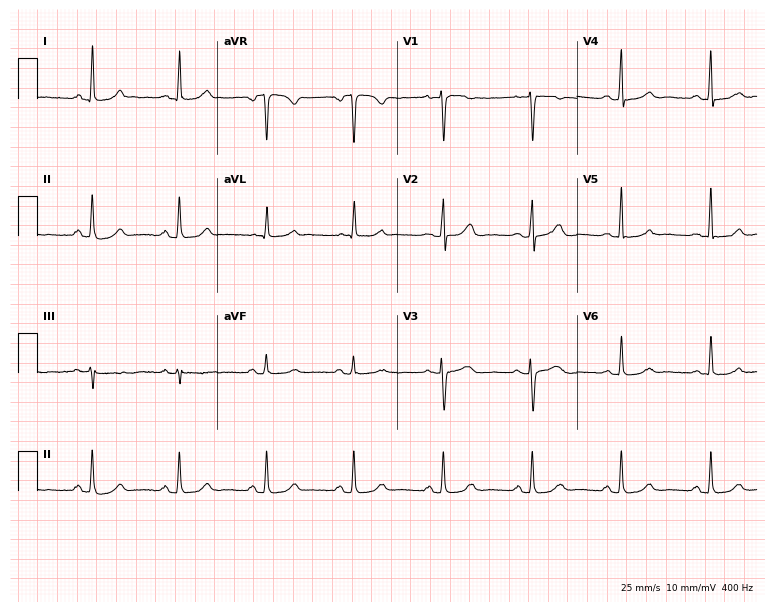
Resting 12-lead electrocardiogram. Patient: a 41-year-old female. Read as a normal ECG.